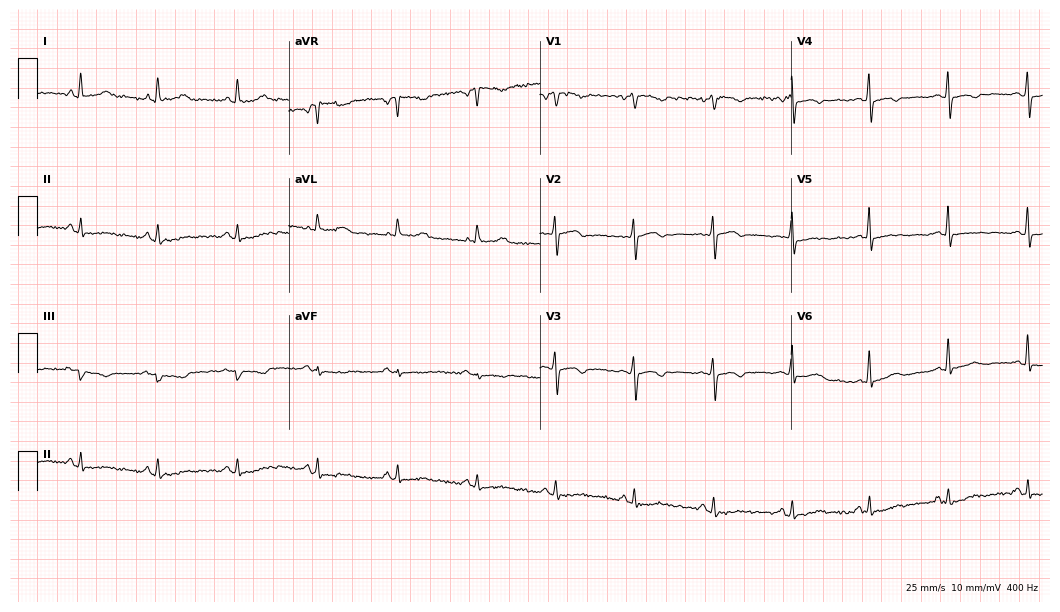
Resting 12-lead electrocardiogram. Patient: a 51-year-old female. None of these six findings is recorded: first-degree AV block, right bundle branch block, left bundle branch block, sinus bradycardia, atrial fibrillation, sinus tachycardia.